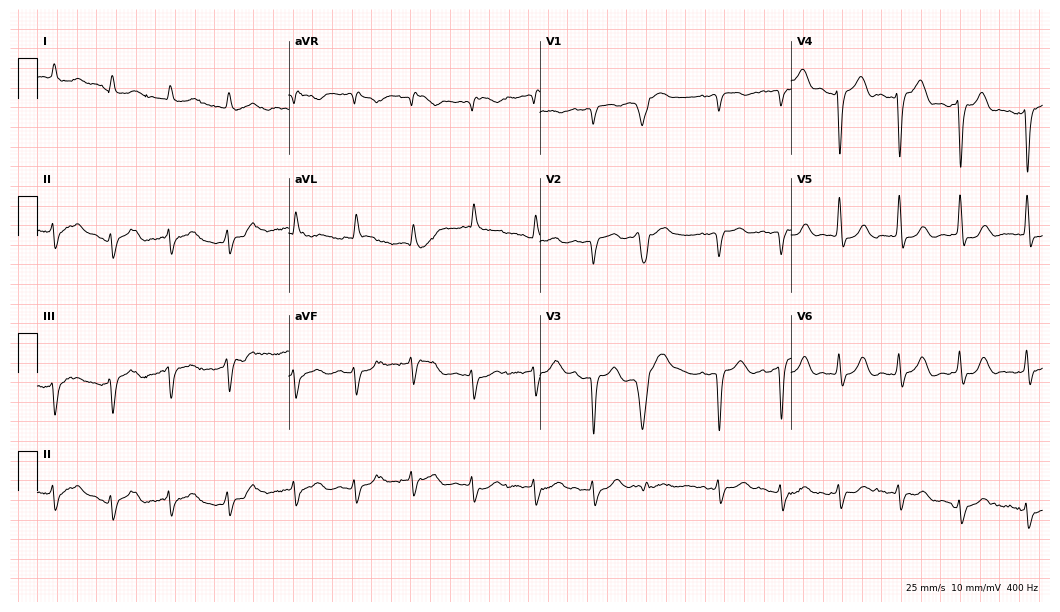
Resting 12-lead electrocardiogram. Patient: a female, 80 years old. None of these six findings is recorded: first-degree AV block, right bundle branch block, left bundle branch block, sinus bradycardia, atrial fibrillation, sinus tachycardia. Other findings, if any, are not listed.